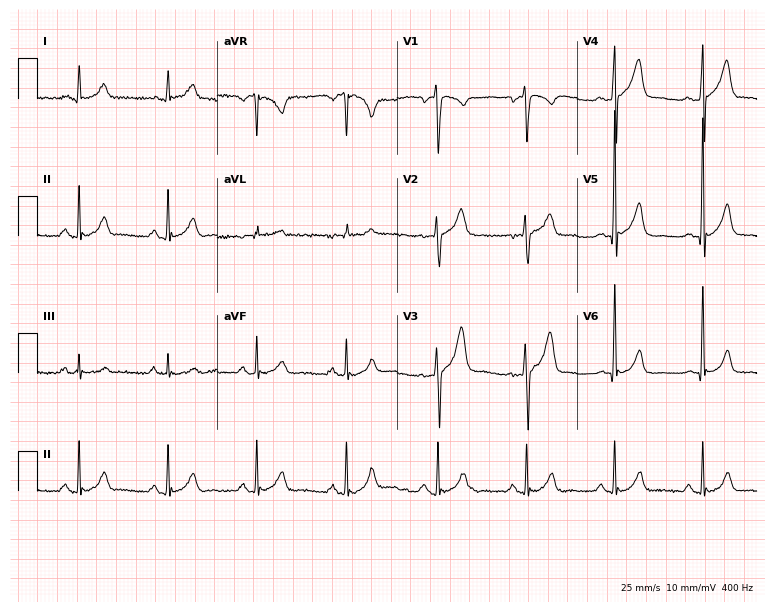
Resting 12-lead electrocardiogram (7.3-second recording at 400 Hz). Patient: a 45-year-old man. Read as a normal ECG.